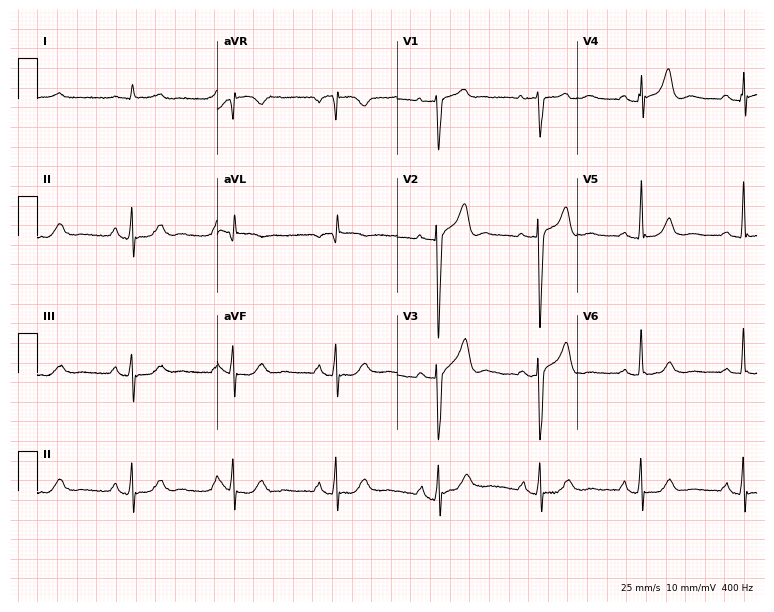
ECG (7.3-second recording at 400 Hz) — a 68-year-old male. Labelled as a normal ECG.